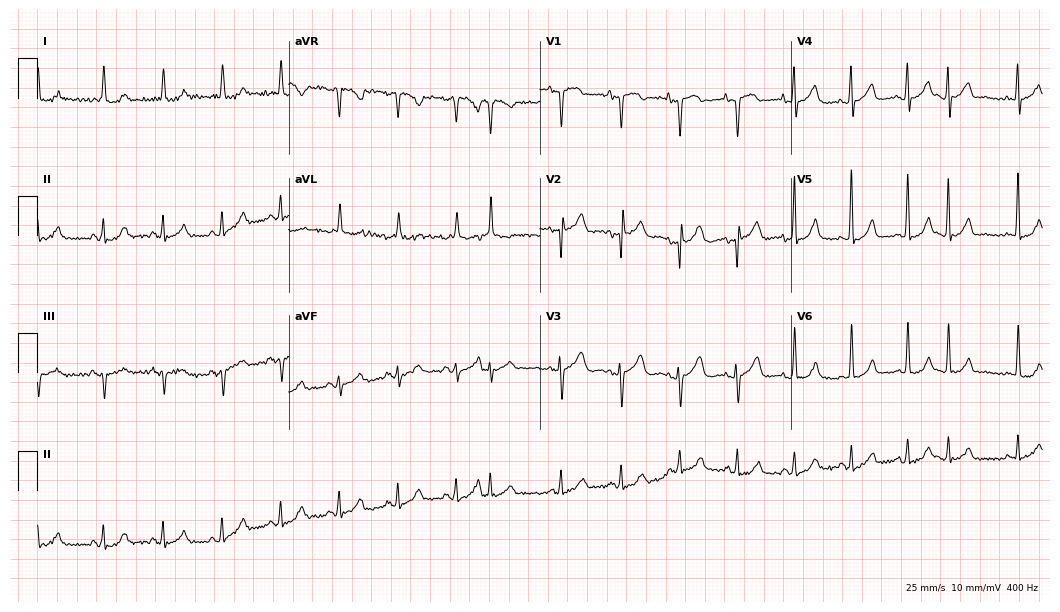
Electrocardiogram, a 79-year-old female. Of the six screened findings (first-degree AV block, right bundle branch block, left bundle branch block, sinus bradycardia, atrial fibrillation, sinus tachycardia), none is recorded. Only these six findings were labelled.